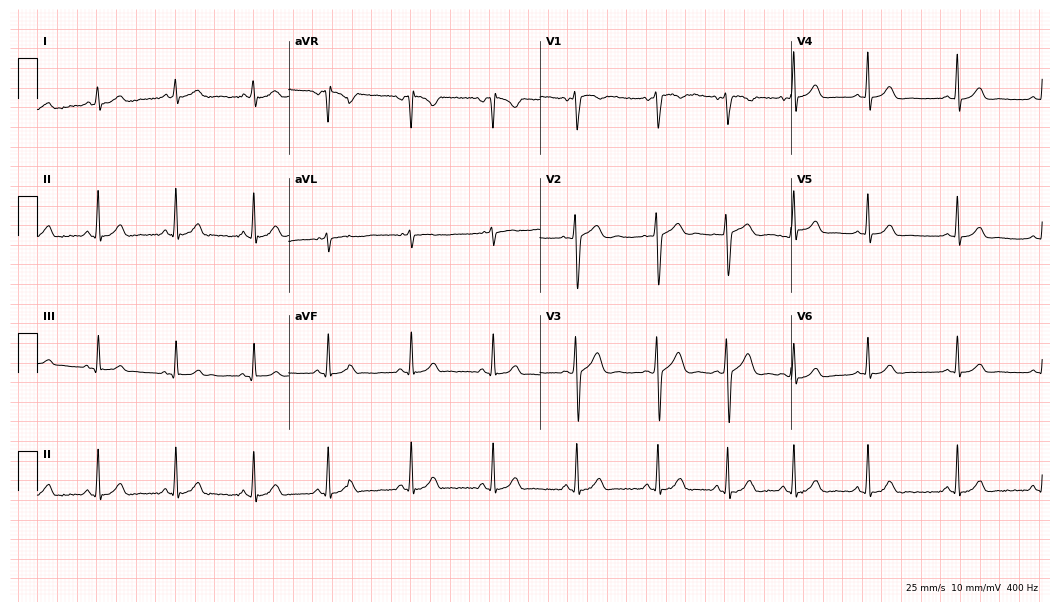
Resting 12-lead electrocardiogram. Patient: a 21-year-old female. Read as a normal ECG.